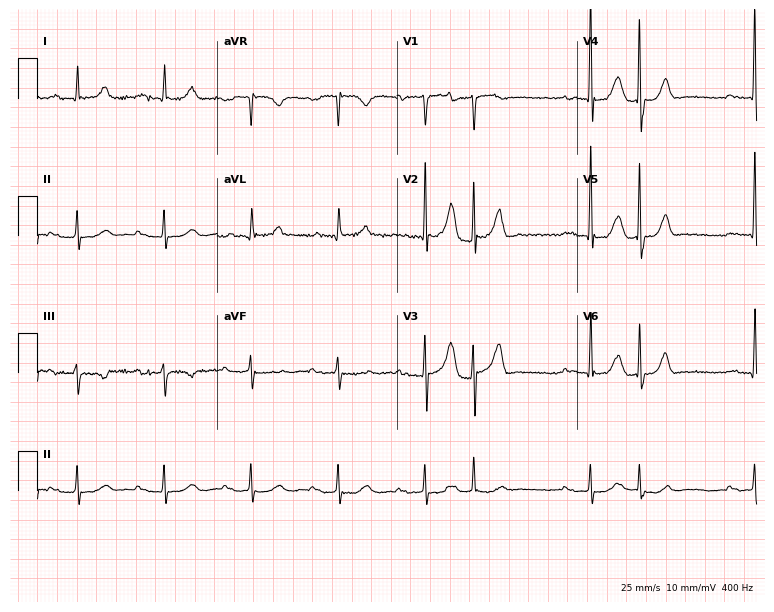
12-lead ECG from an 84-year-old male. Shows first-degree AV block.